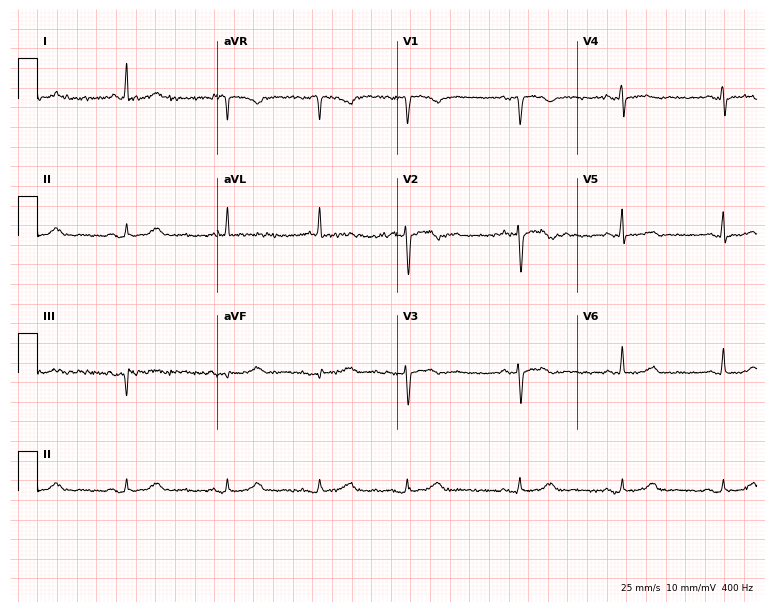
Electrocardiogram (7.3-second recording at 400 Hz), a female patient, 79 years old. Overall reading on record: normal ECG.